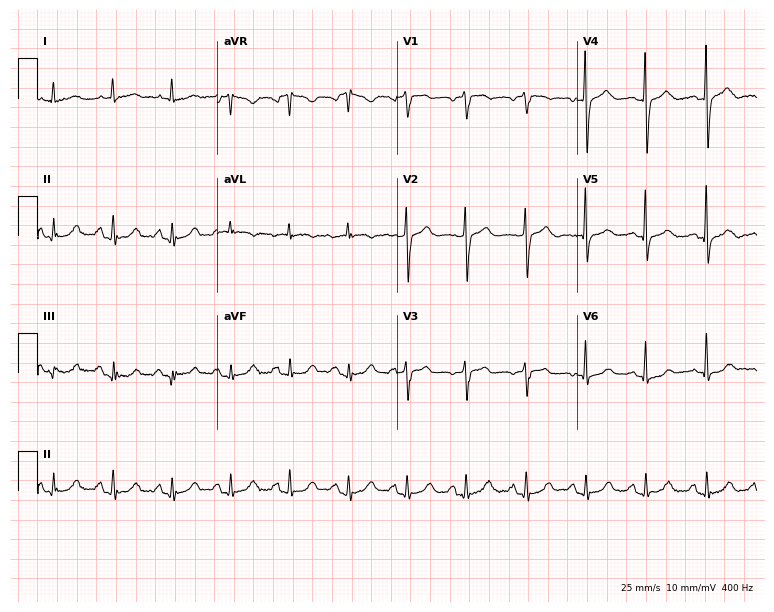
12-lead ECG from a female patient, 72 years old (7.3-second recording at 400 Hz). Recorded interpretation: within normal limits.